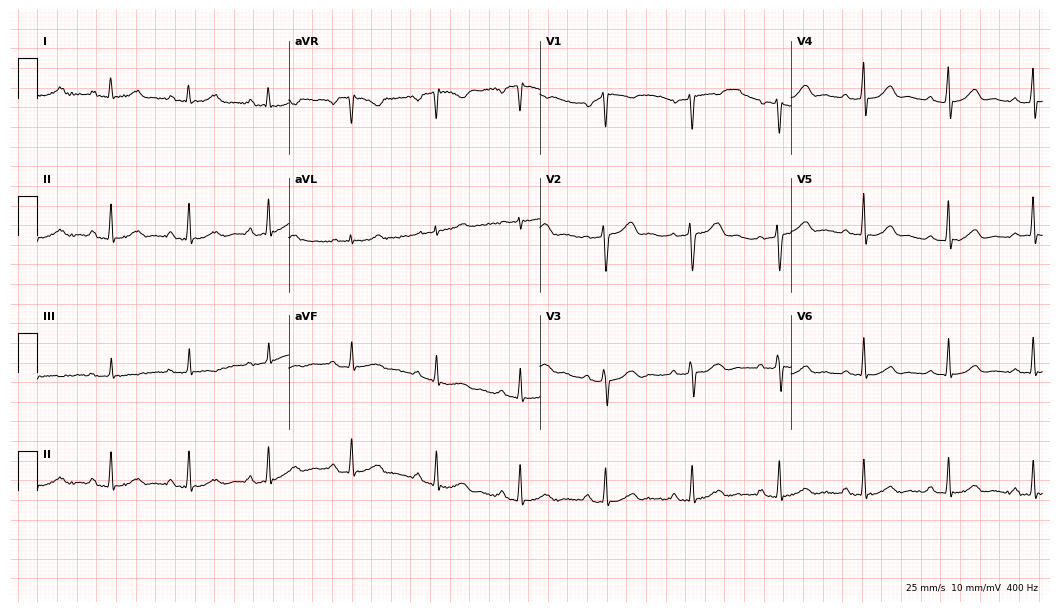
Resting 12-lead electrocardiogram. Patient: a 39-year-old female. Read as a normal ECG.